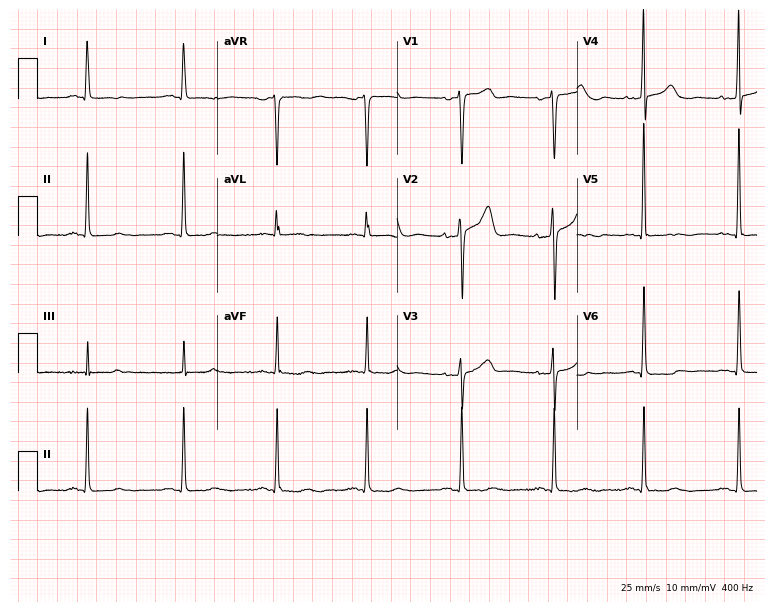
Resting 12-lead electrocardiogram. Patient: a woman, 61 years old. None of these six findings is recorded: first-degree AV block, right bundle branch block, left bundle branch block, sinus bradycardia, atrial fibrillation, sinus tachycardia.